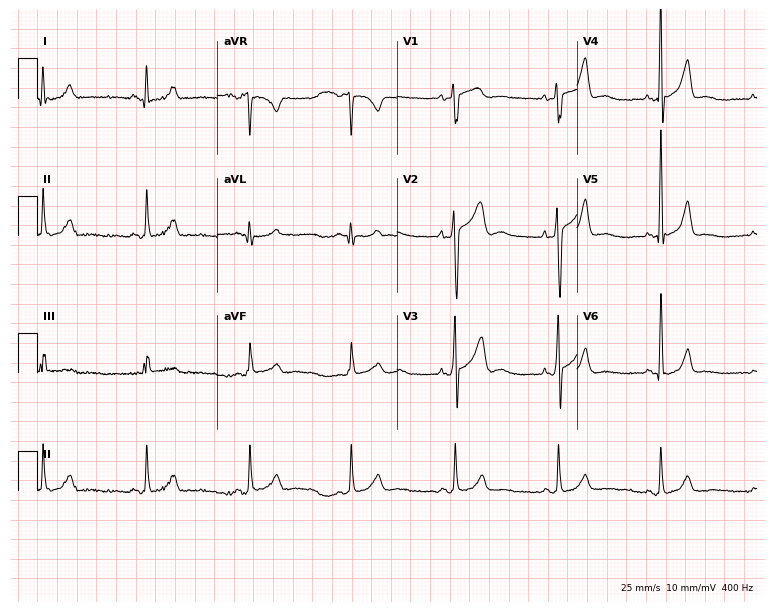
Standard 12-lead ECG recorded from a 35-year-old male (7.3-second recording at 400 Hz). None of these six findings is recorded: first-degree AV block, right bundle branch block (RBBB), left bundle branch block (LBBB), sinus bradycardia, atrial fibrillation (AF), sinus tachycardia. Only these six findings were labelled.